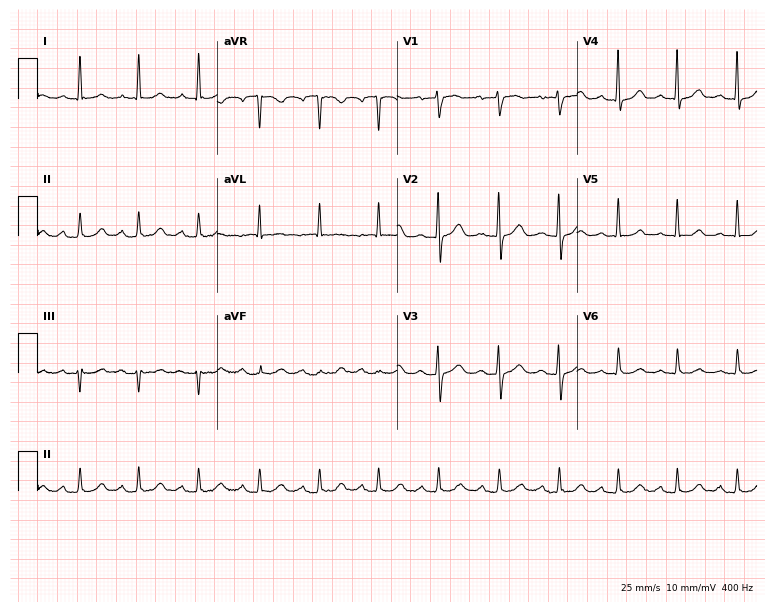
12-lead ECG from a woman, 65 years old. No first-degree AV block, right bundle branch block (RBBB), left bundle branch block (LBBB), sinus bradycardia, atrial fibrillation (AF) or sinus tachycardia recorded for this tracing. Other findings, if any, are not listed.